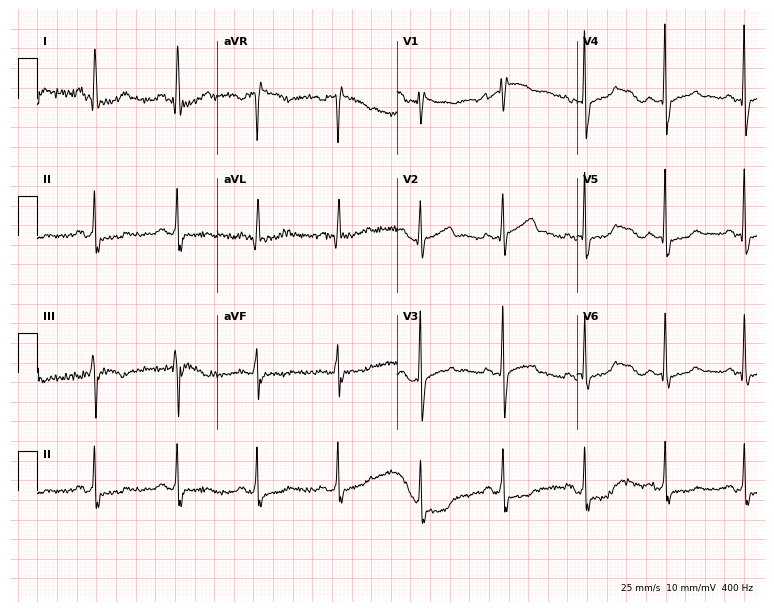
Standard 12-lead ECG recorded from a female, 45 years old. None of these six findings is recorded: first-degree AV block, right bundle branch block, left bundle branch block, sinus bradycardia, atrial fibrillation, sinus tachycardia.